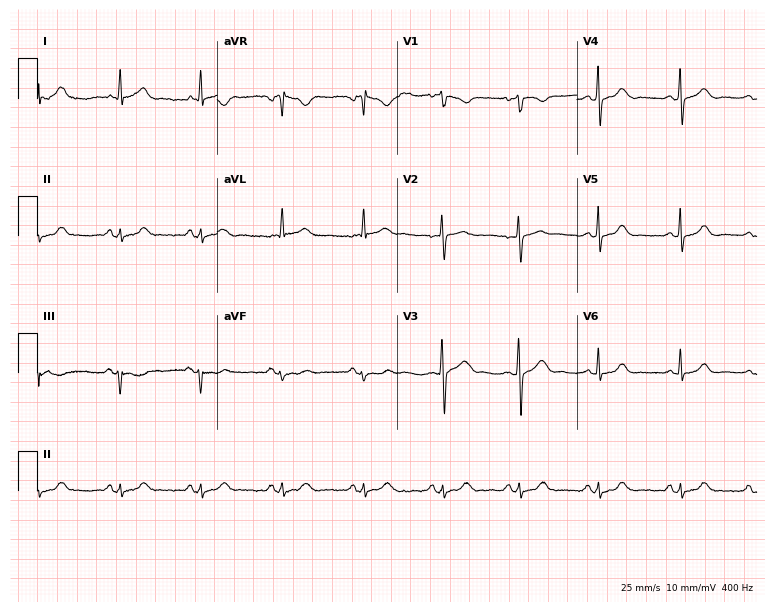
12-lead ECG from a 66-year-old woman. Recorded interpretation: within normal limits.